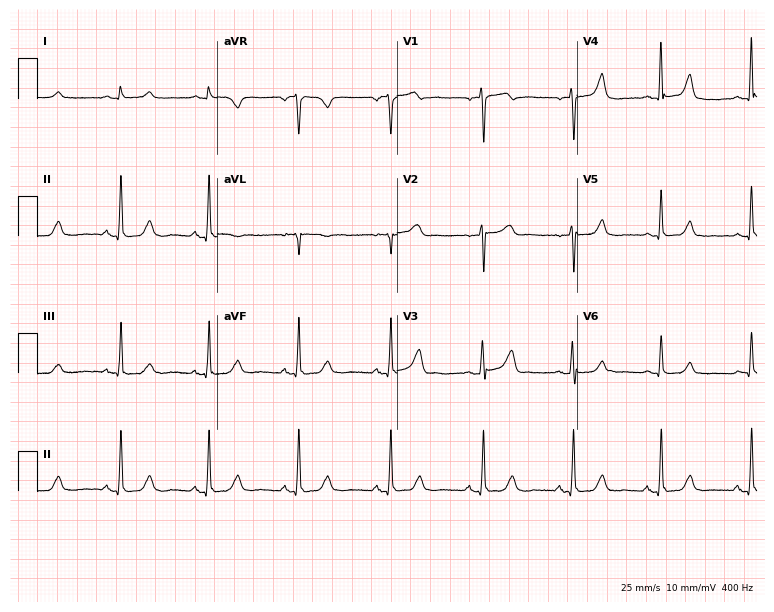
12-lead ECG (7.3-second recording at 400 Hz) from a 52-year-old woman. Labelled as a normal ECG.